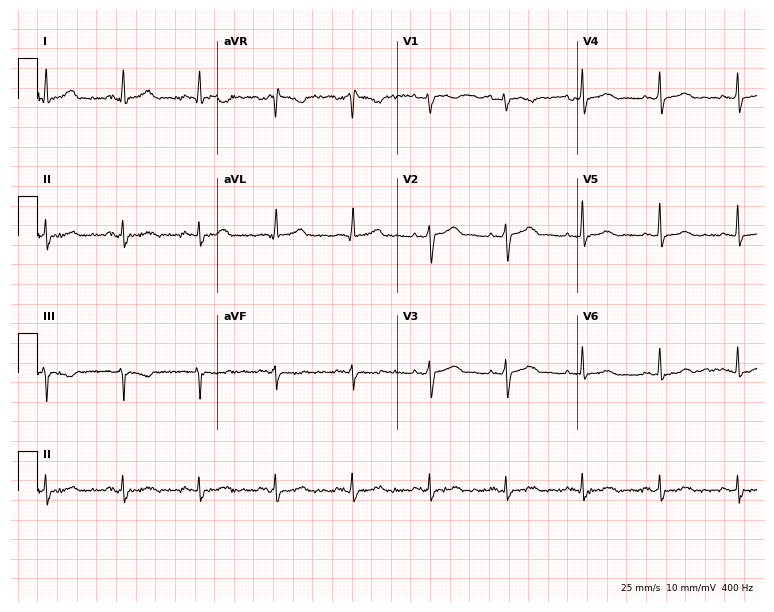
ECG (7.3-second recording at 400 Hz) — a 33-year-old female. Screened for six findings — first-degree AV block, right bundle branch block, left bundle branch block, sinus bradycardia, atrial fibrillation, sinus tachycardia — none is recorded. Only these six findings were labelled.